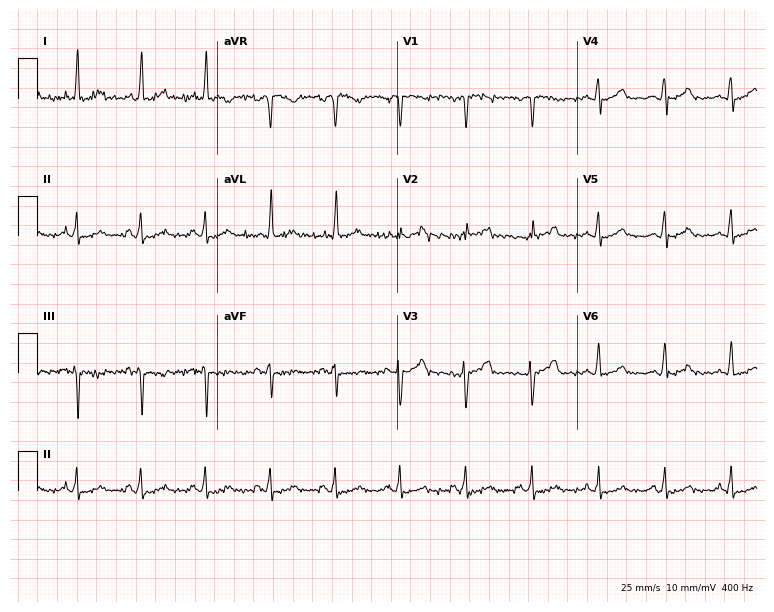
Standard 12-lead ECG recorded from a female patient, 48 years old. Read as a normal ECG.